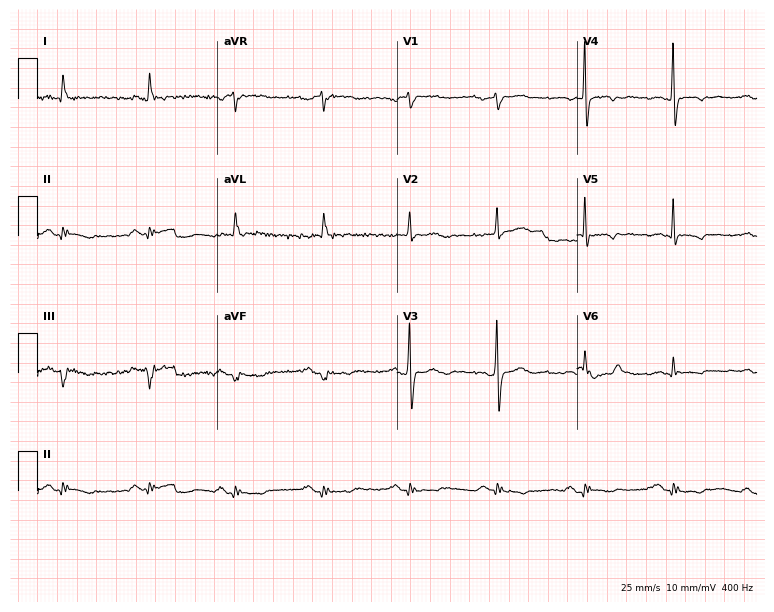
12-lead ECG from a man, 77 years old. Screened for six findings — first-degree AV block, right bundle branch block, left bundle branch block, sinus bradycardia, atrial fibrillation, sinus tachycardia — none is recorded. Findings outside these six are not listed.